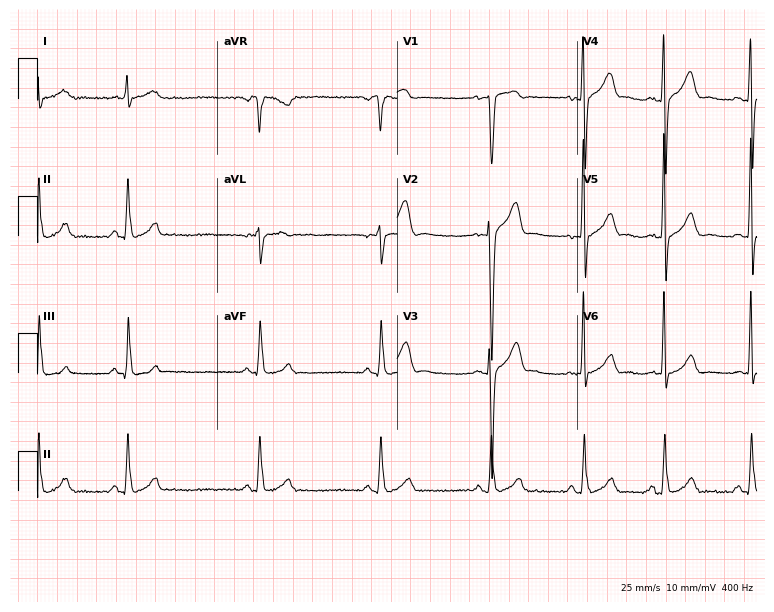
12-lead ECG from a male patient, 24 years old. No first-degree AV block, right bundle branch block, left bundle branch block, sinus bradycardia, atrial fibrillation or sinus tachycardia recorded for this tracing.